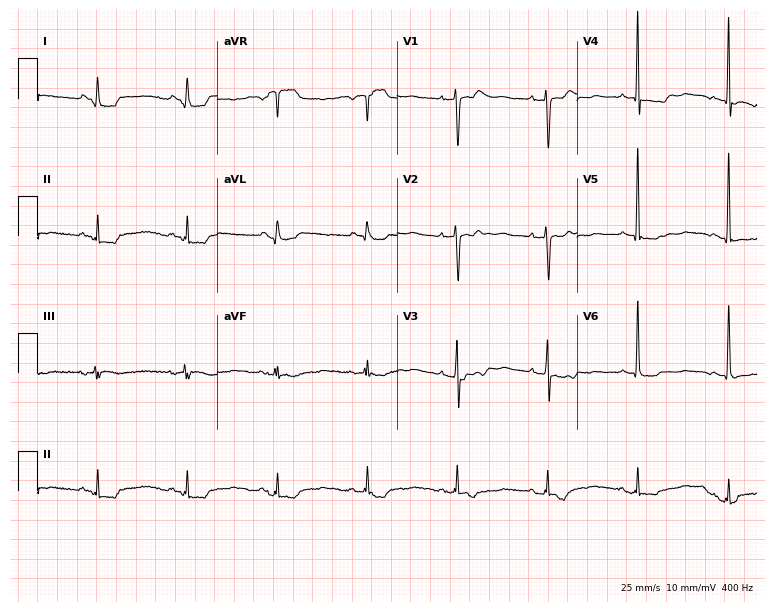
Resting 12-lead electrocardiogram. Patient: a female, 62 years old. None of these six findings is recorded: first-degree AV block, right bundle branch block, left bundle branch block, sinus bradycardia, atrial fibrillation, sinus tachycardia. Findings outside these six are not listed.